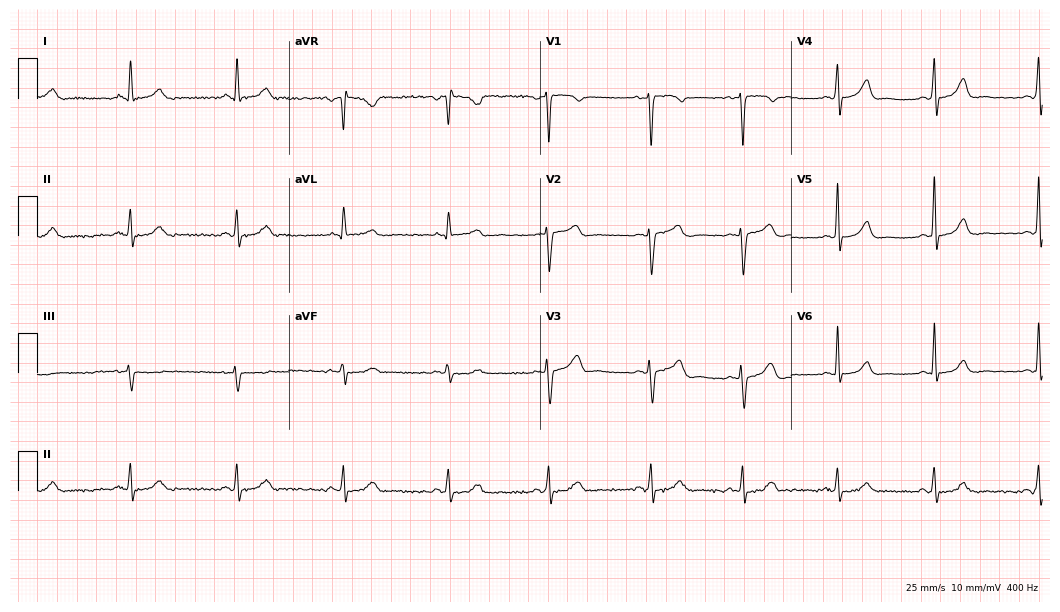
Electrocardiogram, a woman, 44 years old. Of the six screened findings (first-degree AV block, right bundle branch block, left bundle branch block, sinus bradycardia, atrial fibrillation, sinus tachycardia), none is recorded. Only these six findings were labelled.